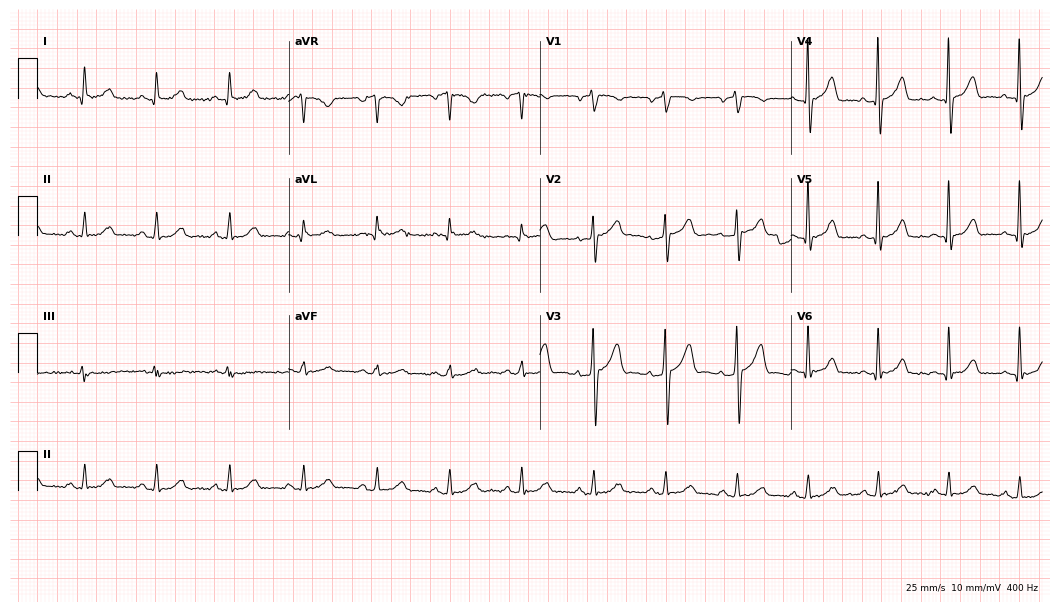
ECG (10.2-second recording at 400 Hz) — a male, 66 years old. Labelled as a normal ECG.